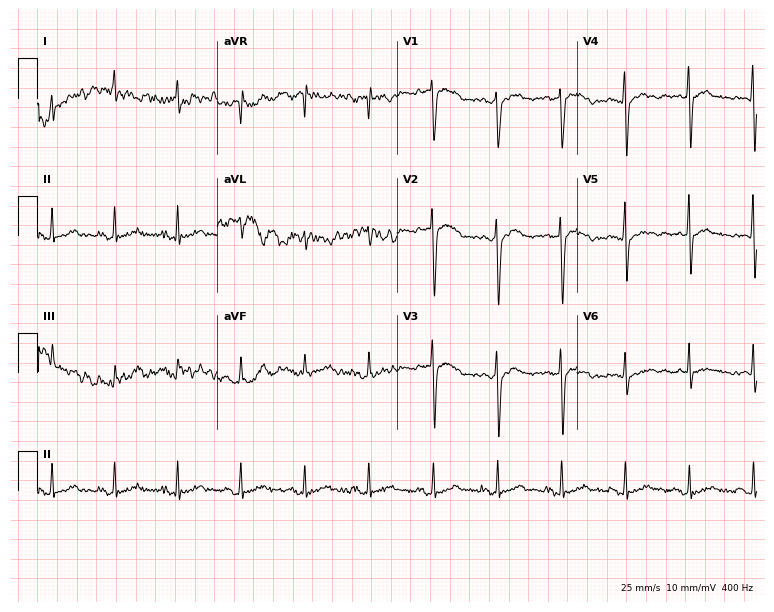
Electrocardiogram (7.3-second recording at 400 Hz), a 66-year-old male patient. Of the six screened findings (first-degree AV block, right bundle branch block (RBBB), left bundle branch block (LBBB), sinus bradycardia, atrial fibrillation (AF), sinus tachycardia), none is recorded. Only these six findings were labelled.